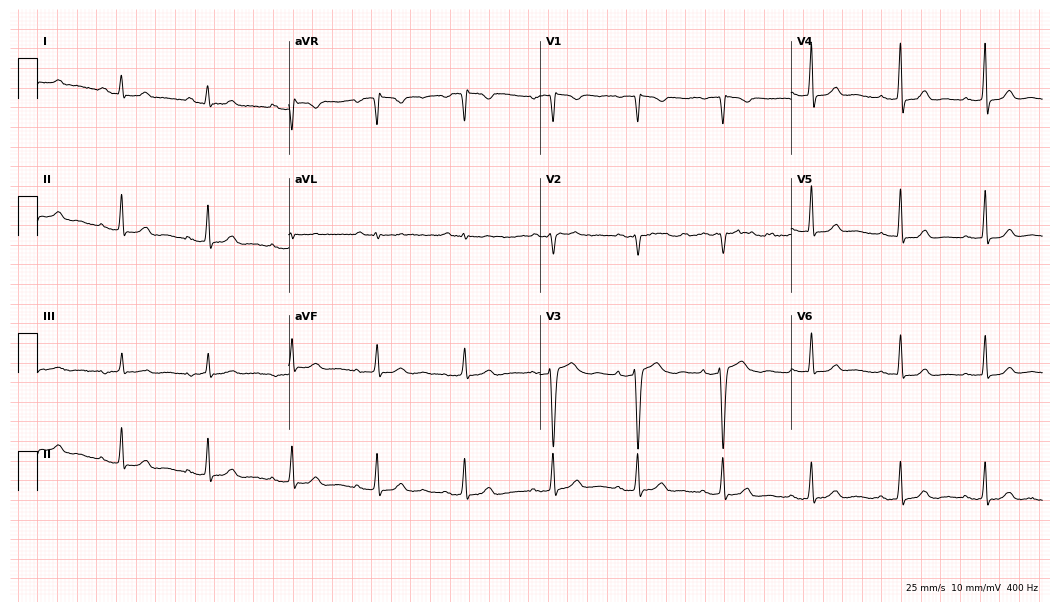
12-lead ECG (10.2-second recording at 400 Hz) from a female patient, 36 years old. Labelled as a normal ECG.